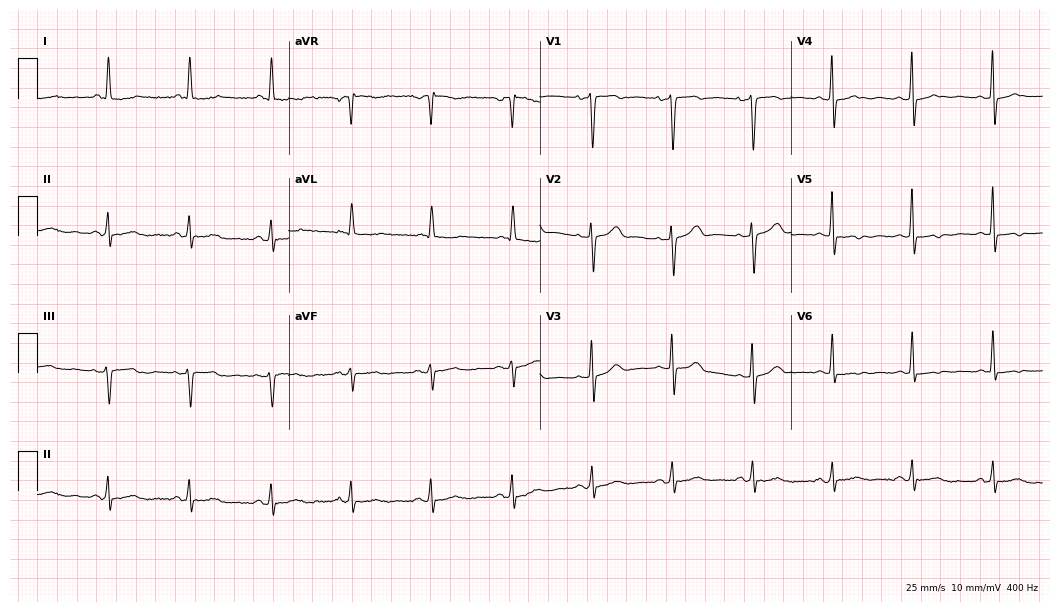
12-lead ECG from a 65-year-old woman. Screened for six findings — first-degree AV block, right bundle branch block, left bundle branch block, sinus bradycardia, atrial fibrillation, sinus tachycardia — none is recorded. Other findings, if any, are not listed.